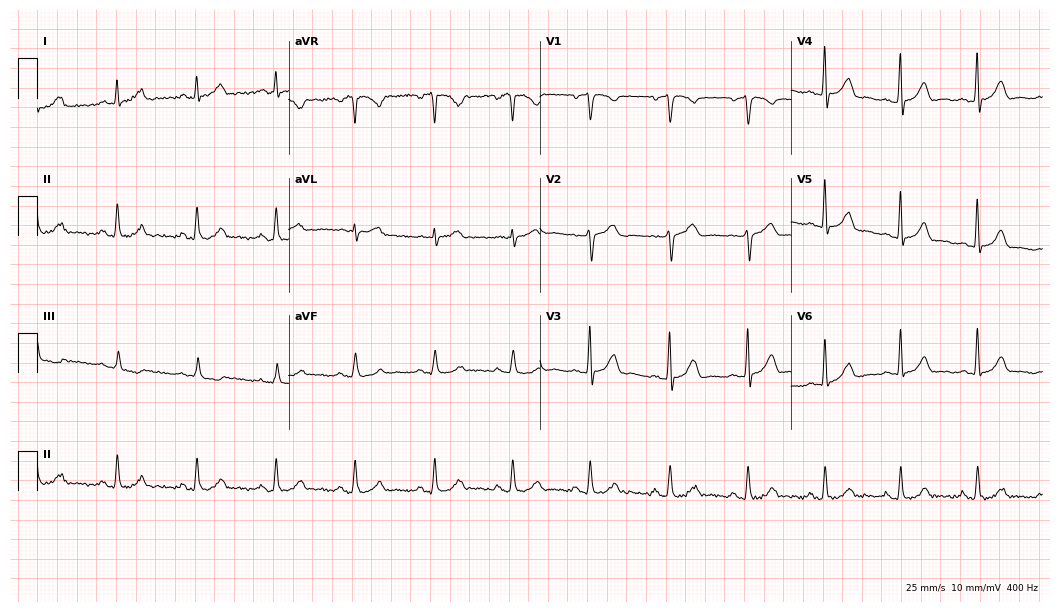
ECG — a man, 57 years old. Screened for six findings — first-degree AV block, right bundle branch block (RBBB), left bundle branch block (LBBB), sinus bradycardia, atrial fibrillation (AF), sinus tachycardia — none is recorded.